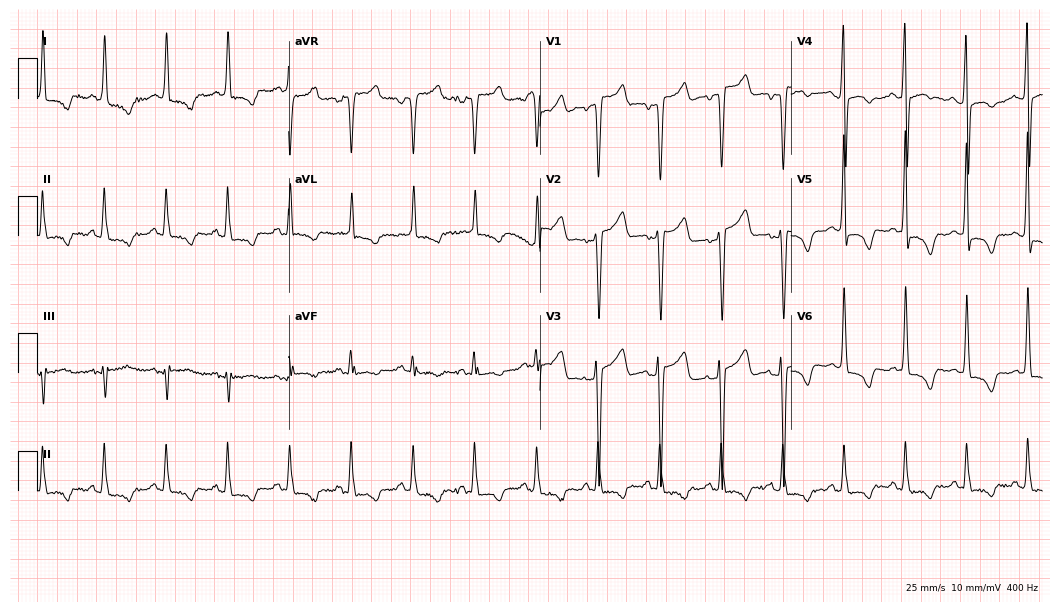
12-lead ECG from a female patient, 60 years old. Screened for six findings — first-degree AV block, right bundle branch block, left bundle branch block, sinus bradycardia, atrial fibrillation, sinus tachycardia — none is recorded.